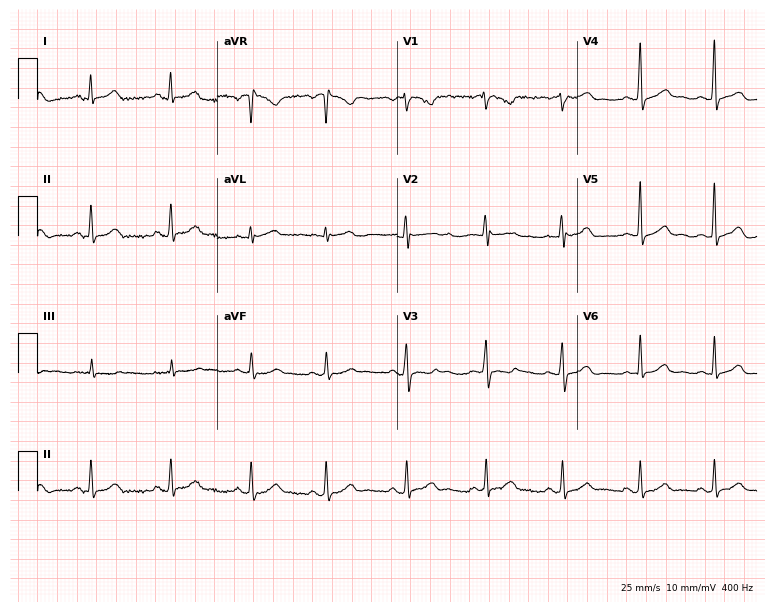
12-lead ECG from a female, 23 years old. Recorded interpretation: within normal limits.